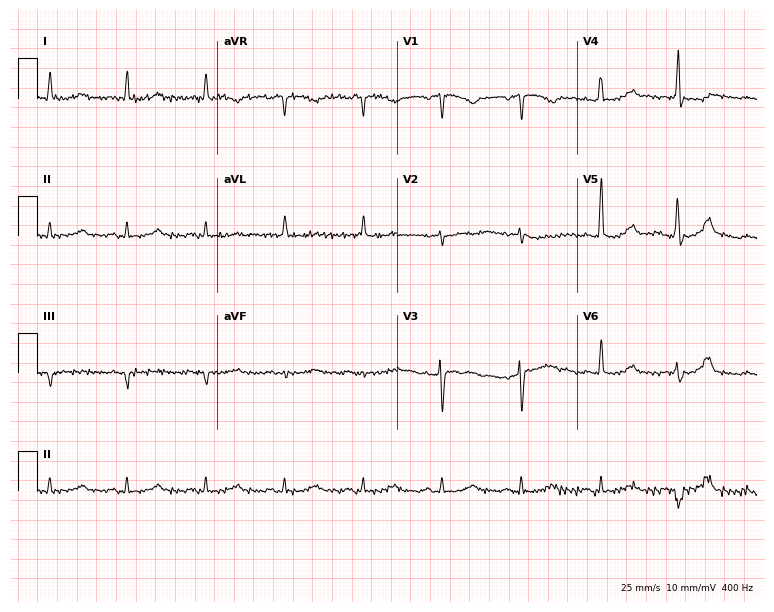
12-lead ECG from a 38-year-old man (7.3-second recording at 400 Hz). No first-degree AV block, right bundle branch block, left bundle branch block, sinus bradycardia, atrial fibrillation or sinus tachycardia recorded for this tracing.